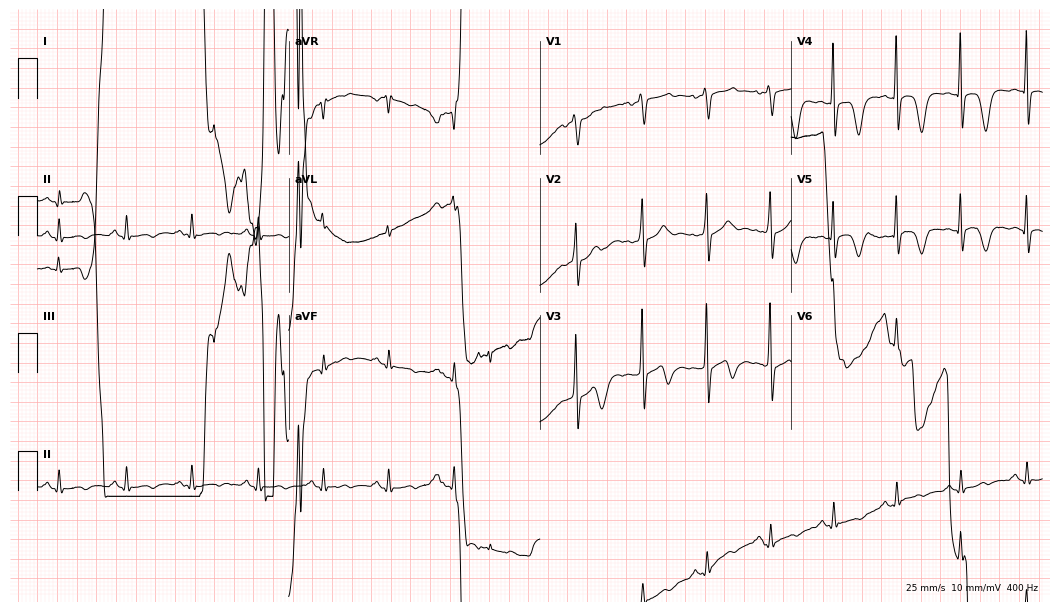
ECG — a 77-year-old male patient. Screened for six findings — first-degree AV block, right bundle branch block, left bundle branch block, sinus bradycardia, atrial fibrillation, sinus tachycardia — none is recorded.